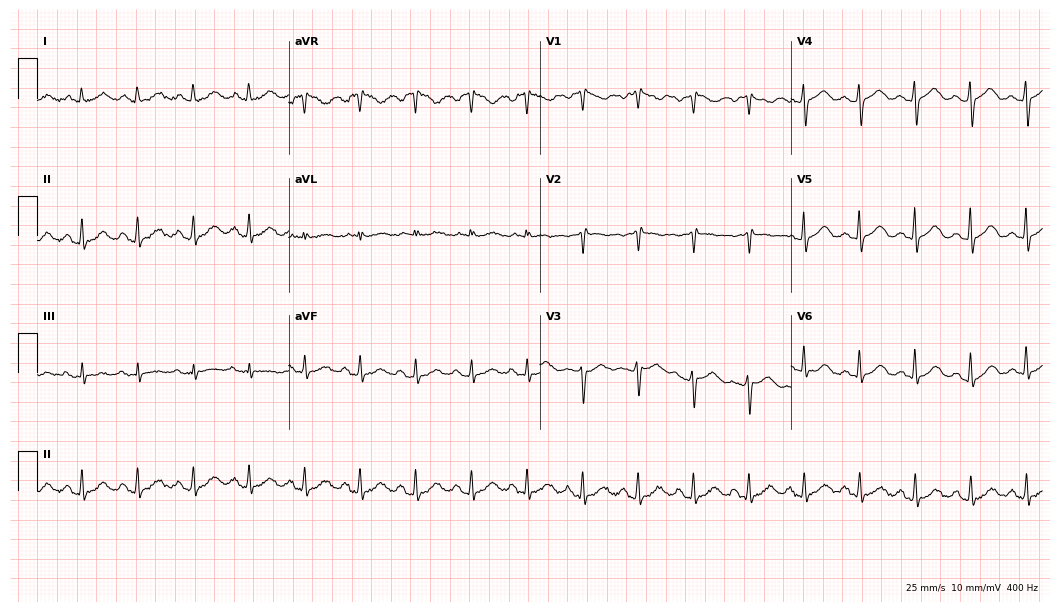
12-lead ECG from a 55-year-old female patient. Screened for six findings — first-degree AV block, right bundle branch block, left bundle branch block, sinus bradycardia, atrial fibrillation, sinus tachycardia — none is recorded. Other findings, if any, are not listed.